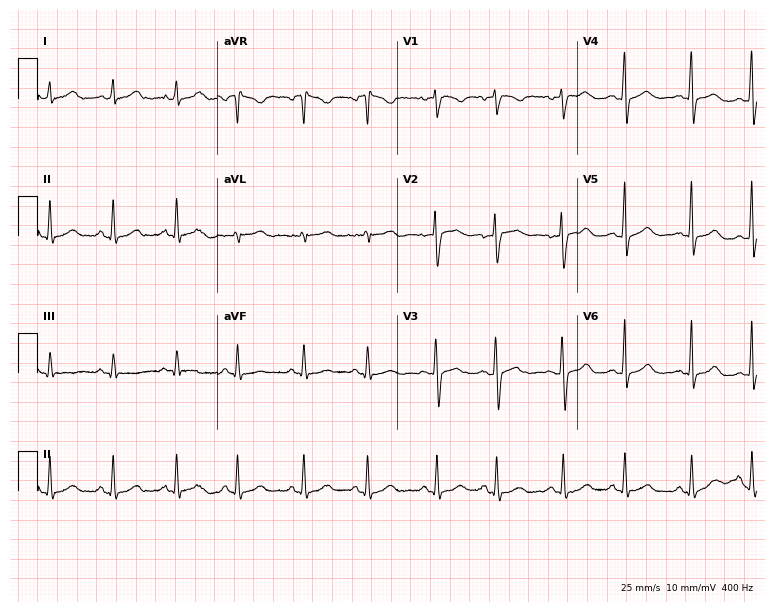
12-lead ECG from a 35-year-old female patient. Recorded interpretation: within normal limits.